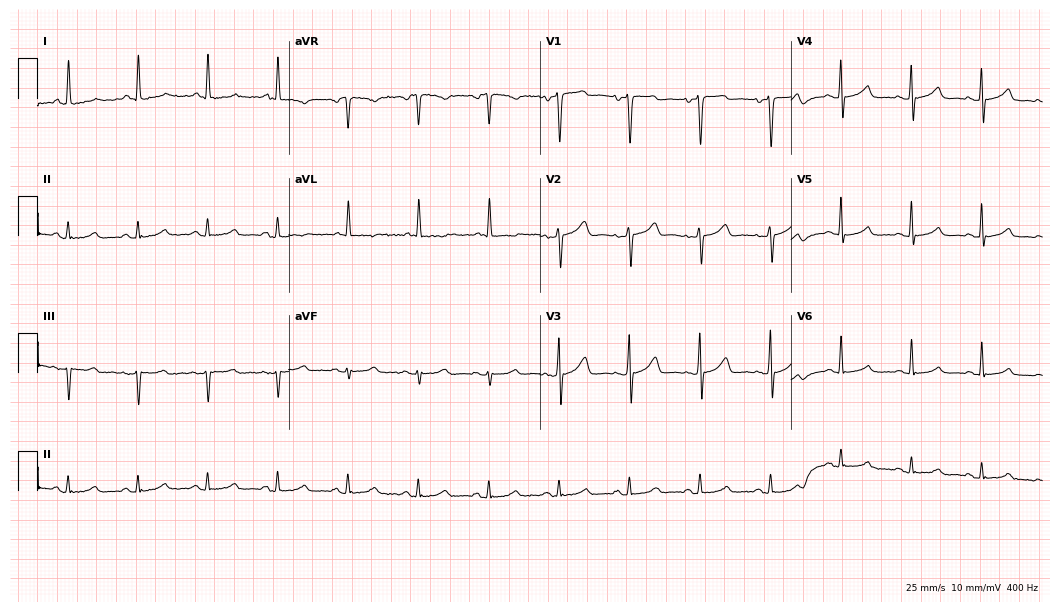
12-lead ECG from a 73-year-old woman (10.2-second recording at 400 Hz). Recorded interpretation: within normal limits.